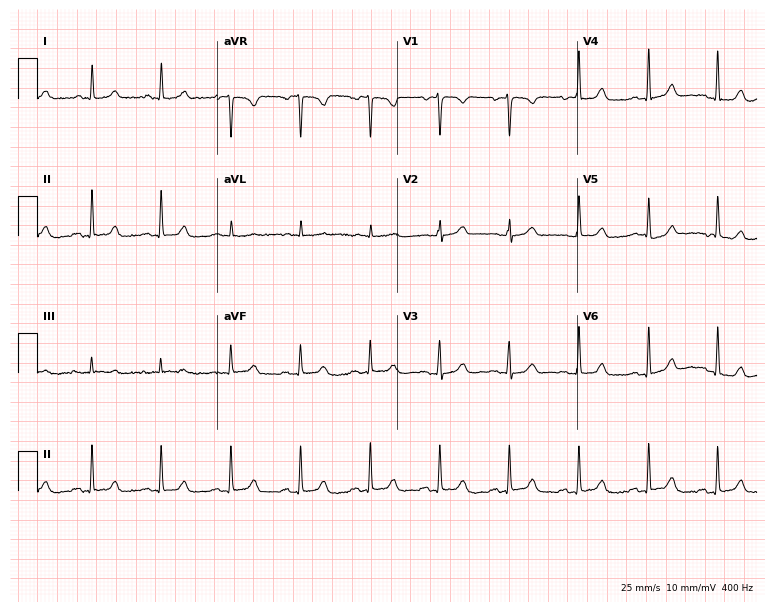
12-lead ECG from an 80-year-old woman (7.3-second recording at 400 Hz). Recorded interpretation: within normal limits.